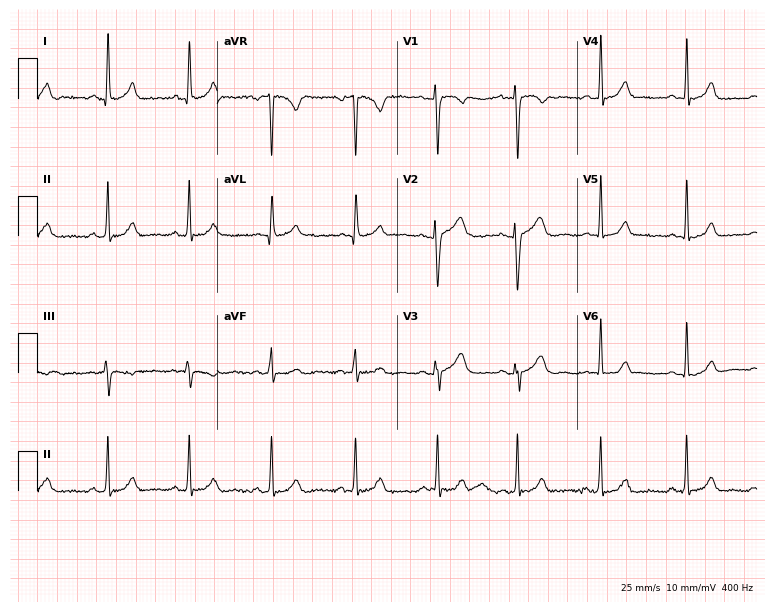
12-lead ECG from a female patient, 34 years old. Screened for six findings — first-degree AV block, right bundle branch block (RBBB), left bundle branch block (LBBB), sinus bradycardia, atrial fibrillation (AF), sinus tachycardia — none is recorded.